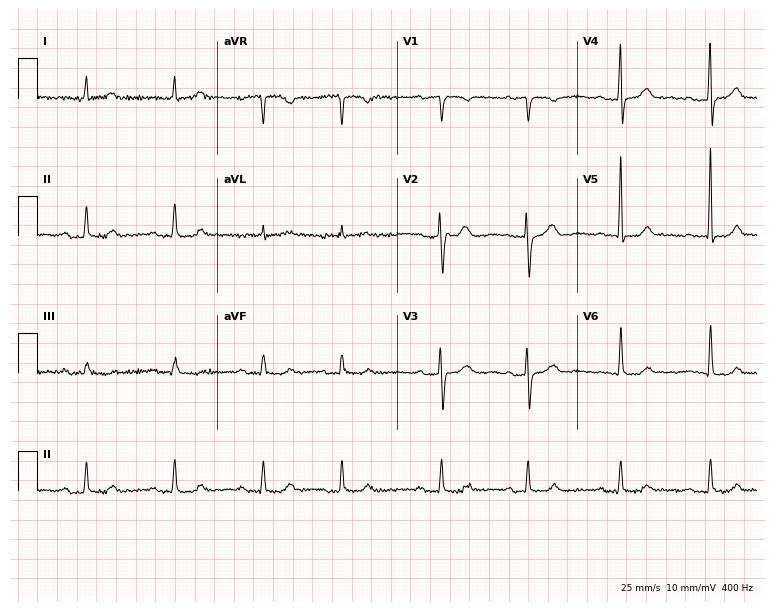
Standard 12-lead ECG recorded from a woman, 77 years old (7.3-second recording at 400 Hz). The tracing shows first-degree AV block.